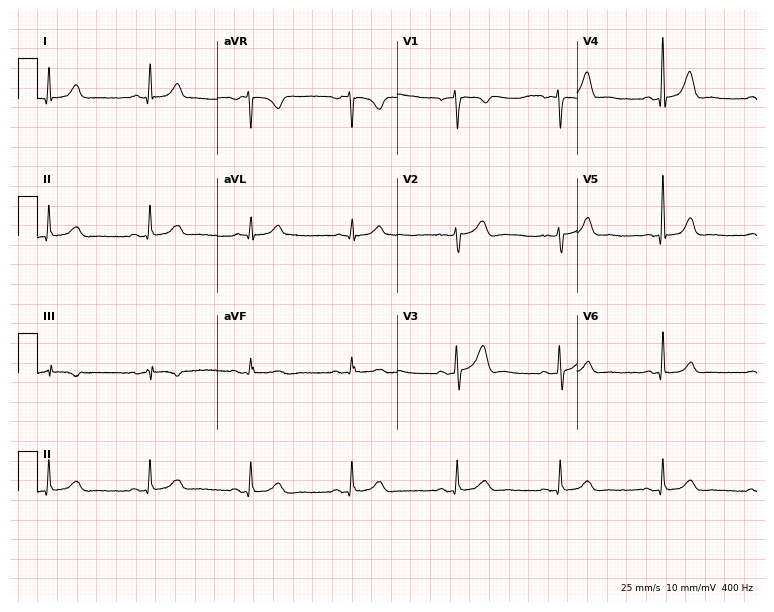
Electrocardiogram, a 52-year-old male patient. Overall reading on record: normal ECG.